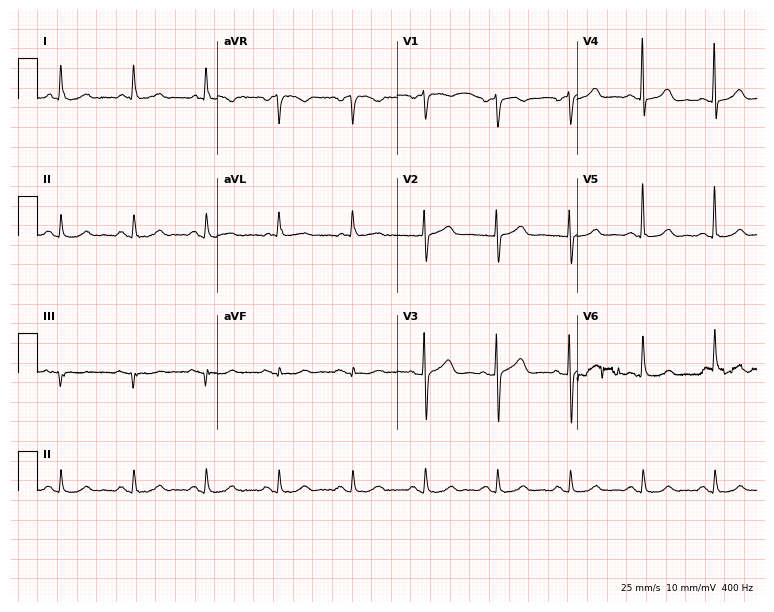
12-lead ECG from a 73-year-old female. Labelled as a normal ECG.